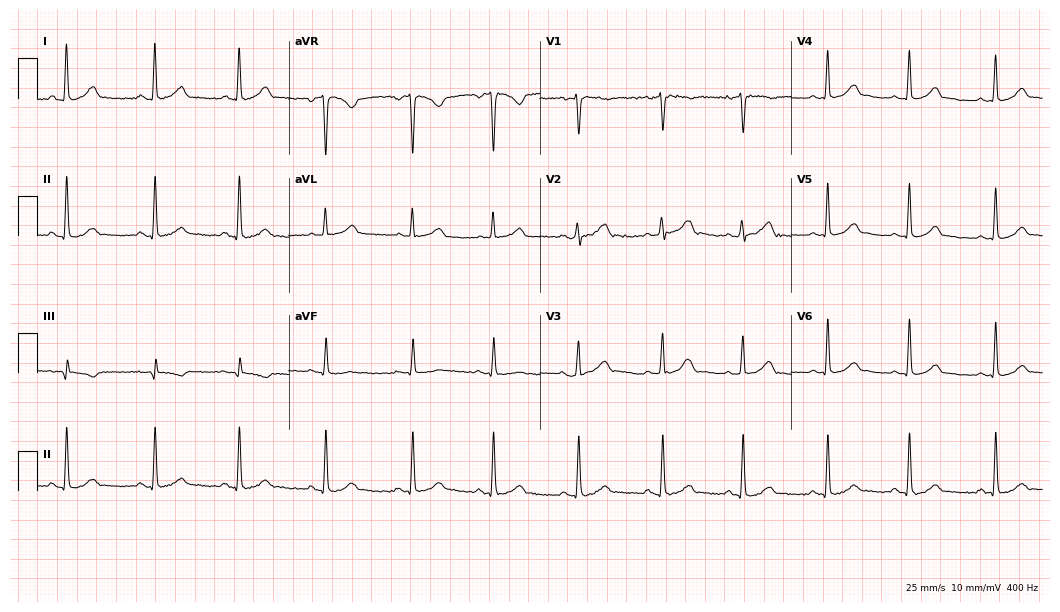
Resting 12-lead electrocardiogram. Patient: a 30-year-old woman. Read as a normal ECG.